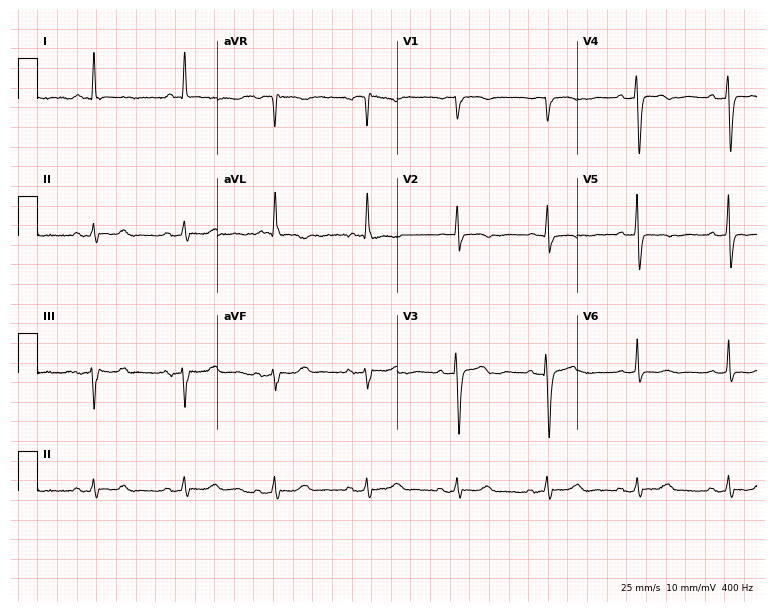
Standard 12-lead ECG recorded from a 69-year-old woman. None of these six findings is recorded: first-degree AV block, right bundle branch block, left bundle branch block, sinus bradycardia, atrial fibrillation, sinus tachycardia. Findings outside these six are not listed.